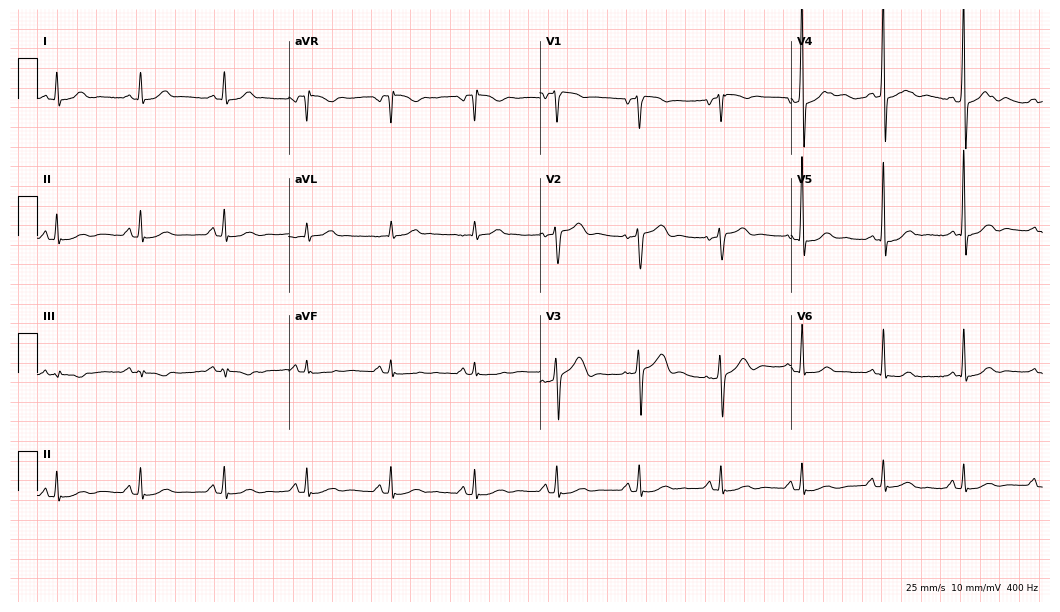
12-lead ECG (10.2-second recording at 400 Hz) from a 69-year-old man. Labelled as a normal ECG.